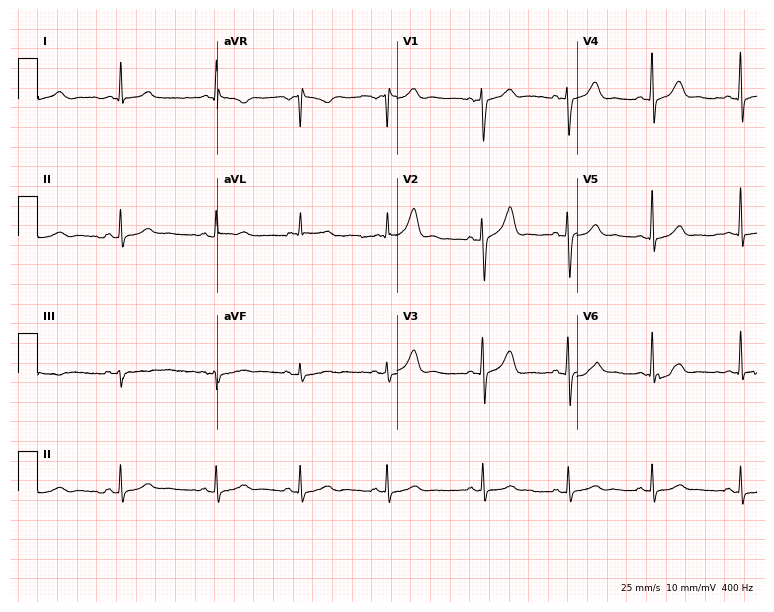
Electrocardiogram (7.3-second recording at 400 Hz), a 63-year-old female patient. Of the six screened findings (first-degree AV block, right bundle branch block, left bundle branch block, sinus bradycardia, atrial fibrillation, sinus tachycardia), none is recorded. Other findings, if any, are not listed.